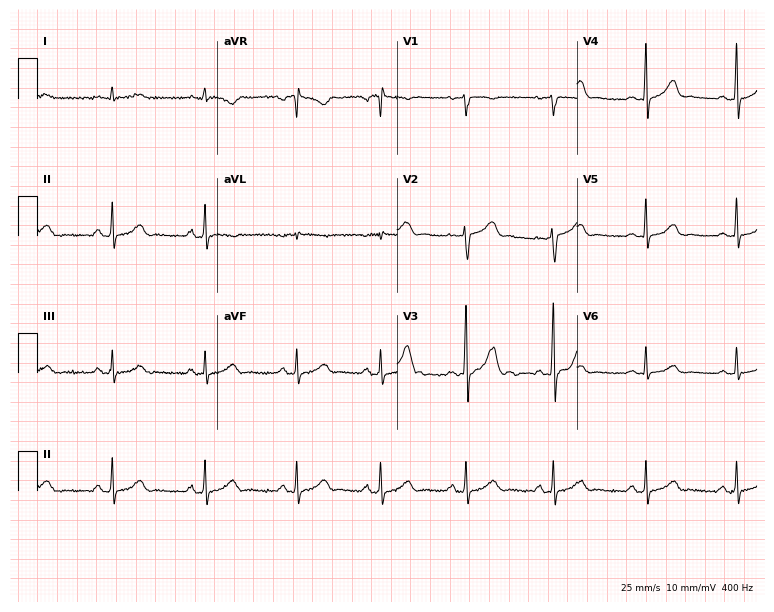
Electrocardiogram (7.3-second recording at 400 Hz), a female, 30 years old. Of the six screened findings (first-degree AV block, right bundle branch block (RBBB), left bundle branch block (LBBB), sinus bradycardia, atrial fibrillation (AF), sinus tachycardia), none is recorded. Findings outside these six are not listed.